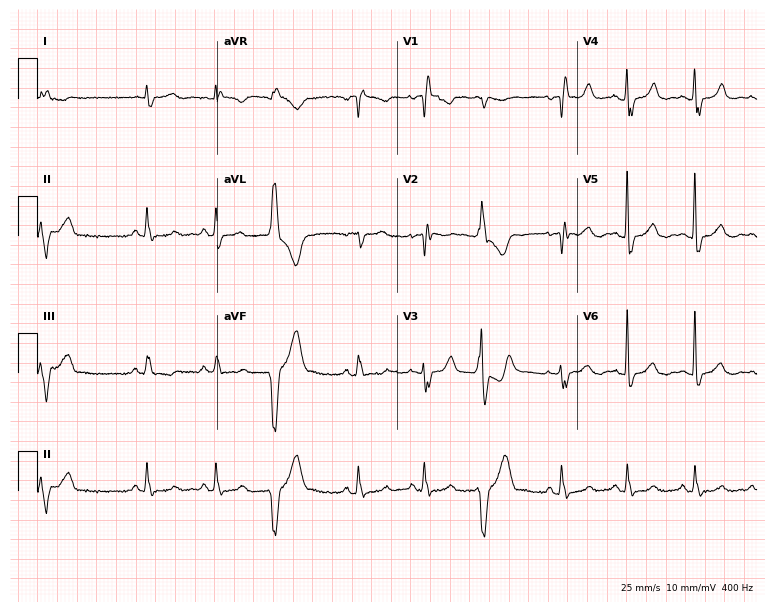
Standard 12-lead ECG recorded from a 72-year-old woman. None of these six findings is recorded: first-degree AV block, right bundle branch block, left bundle branch block, sinus bradycardia, atrial fibrillation, sinus tachycardia. Other findings, if any, are not listed.